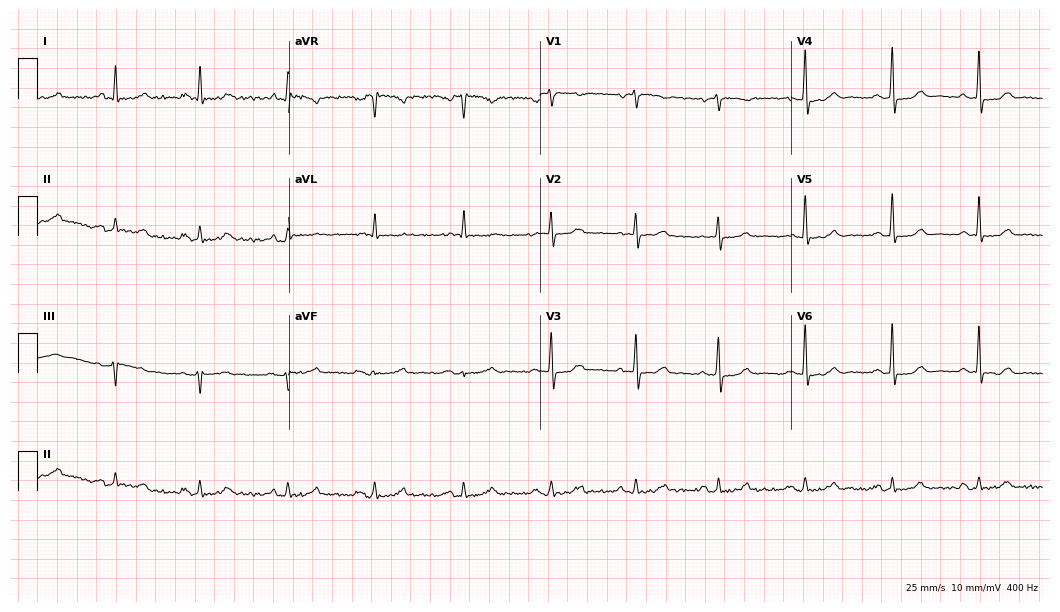
12-lead ECG from a male patient, 73 years old. Labelled as a normal ECG.